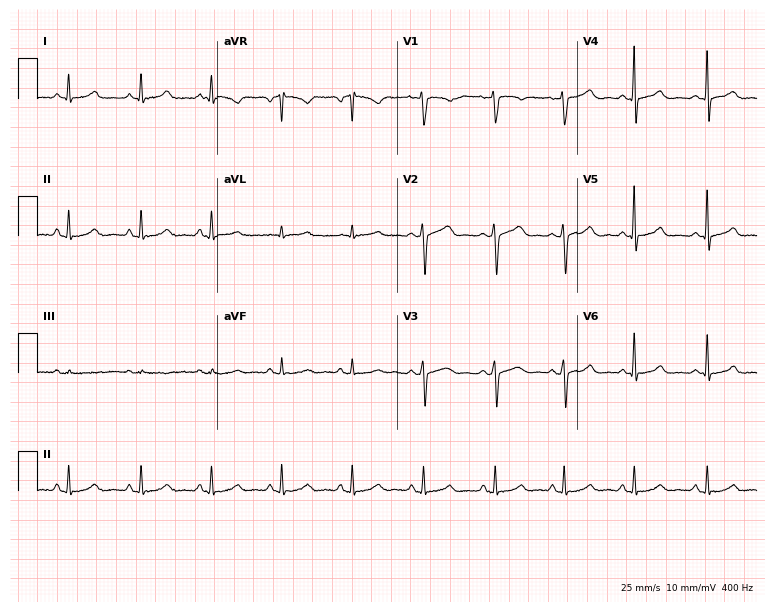
12-lead ECG from a female, 47 years old. No first-degree AV block, right bundle branch block, left bundle branch block, sinus bradycardia, atrial fibrillation or sinus tachycardia recorded for this tracing. Only these six findings were labelled.